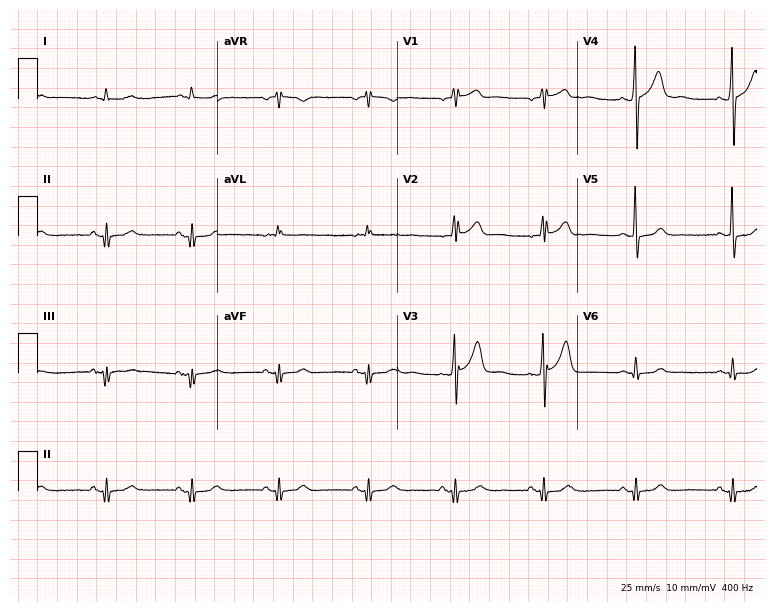
Standard 12-lead ECG recorded from a male, 66 years old (7.3-second recording at 400 Hz). None of these six findings is recorded: first-degree AV block, right bundle branch block, left bundle branch block, sinus bradycardia, atrial fibrillation, sinus tachycardia.